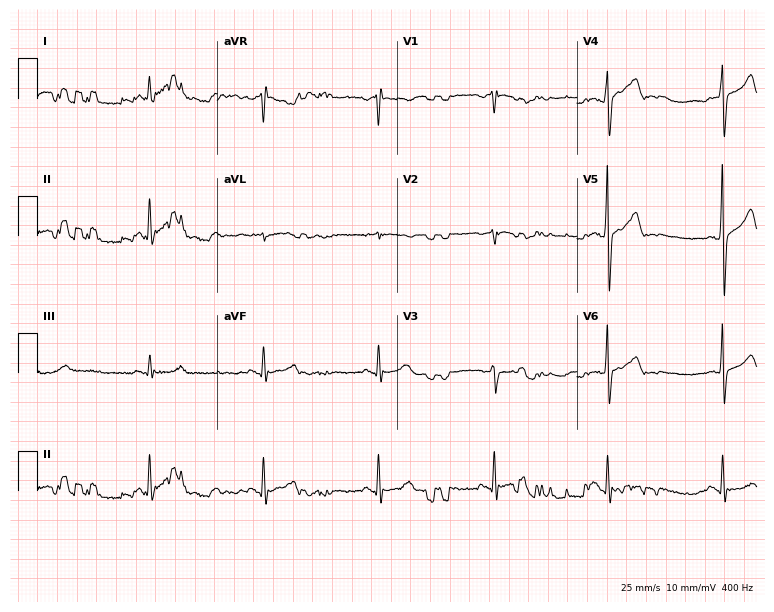
Electrocardiogram, a 70-year-old man. Of the six screened findings (first-degree AV block, right bundle branch block (RBBB), left bundle branch block (LBBB), sinus bradycardia, atrial fibrillation (AF), sinus tachycardia), none is recorded.